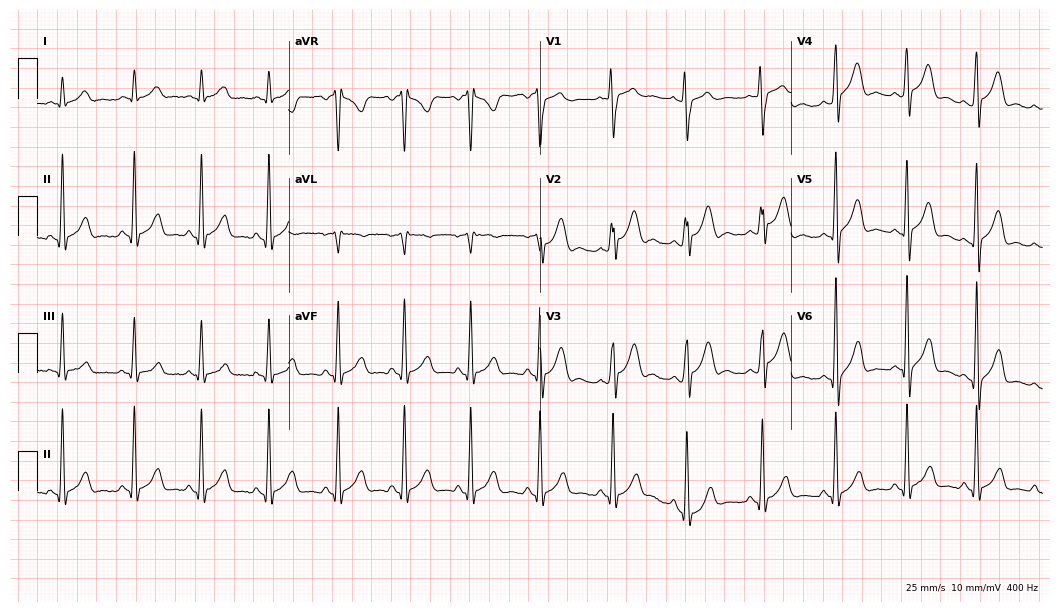
12-lead ECG (10.2-second recording at 400 Hz) from a male, 17 years old. Screened for six findings — first-degree AV block, right bundle branch block (RBBB), left bundle branch block (LBBB), sinus bradycardia, atrial fibrillation (AF), sinus tachycardia — none is recorded.